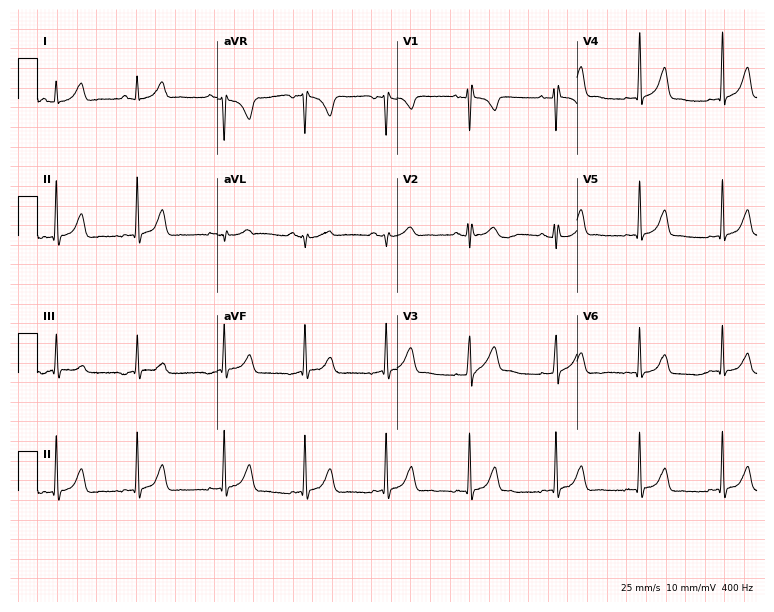
Standard 12-lead ECG recorded from a 20-year-old female (7.3-second recording at 400 Hz). None of these six findings is recorded: first-degree AV block, right bundle branch block (RBBB), left bundle branch block (LBBB), sinus bradycardia, atrial fibrillation (AF), sinus tachycardia. Findings outside these six are not listed.